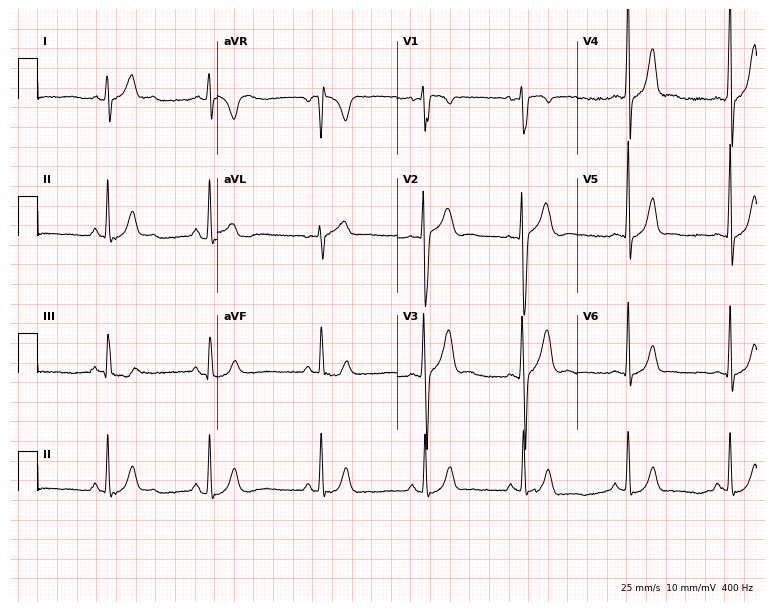
12-lead ECG (7.3-second recording at 400 Hz) from a 17-year-old male. Labelled as a normal ECG.